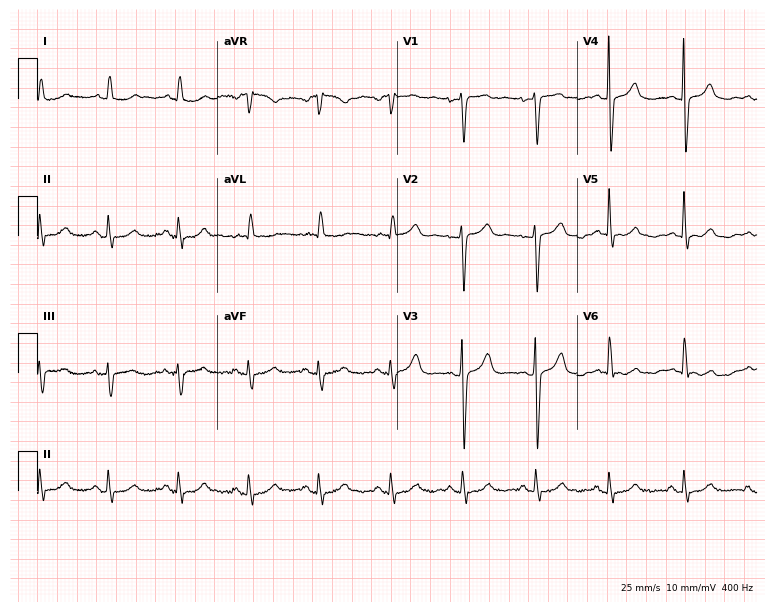
Electrocardiogram, a 62-year-old woman. Of the six screened findings (first-degree AV block, right bundle branch block (RBBB), left bundle branch block (LBBB), sinus bradycardia, atrial fibrillation (AF), sinus tachycardia), none is recorded.